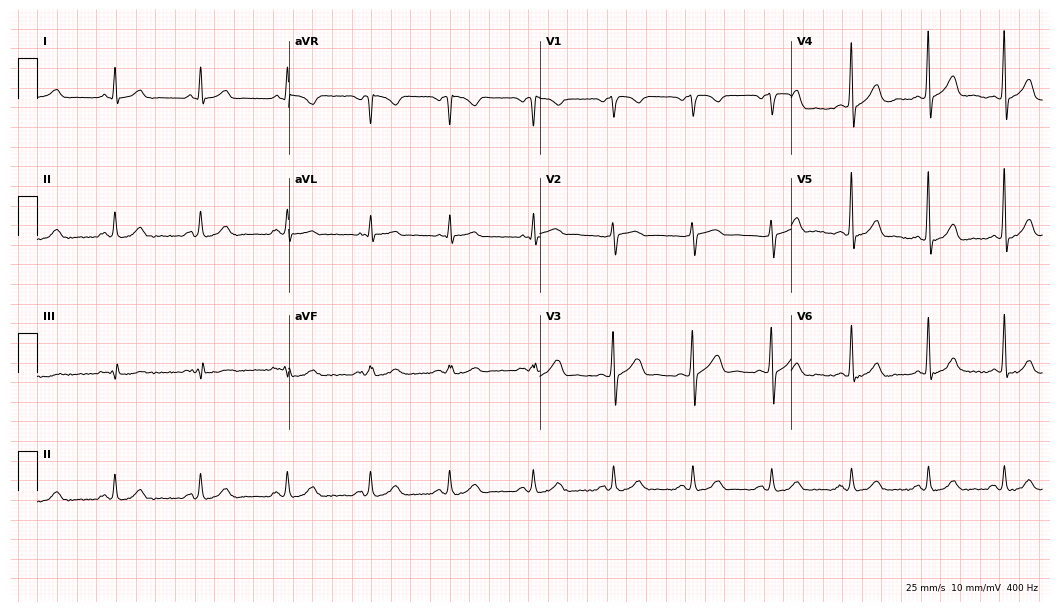
Resting 12-lead electrocardiogram. Patient: a 59-year-old male. Read as a normal ECG.